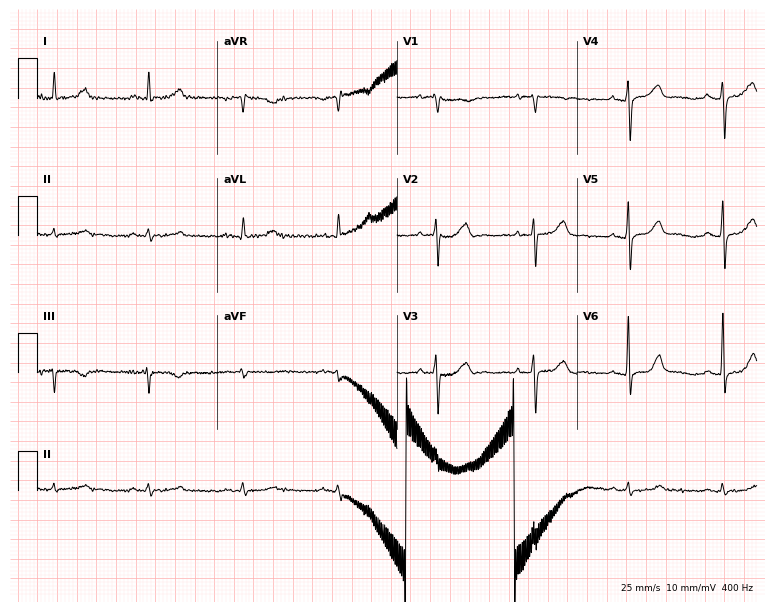
12-lead ECG from a woman, 68 years old. Labelled as a normal ECG.